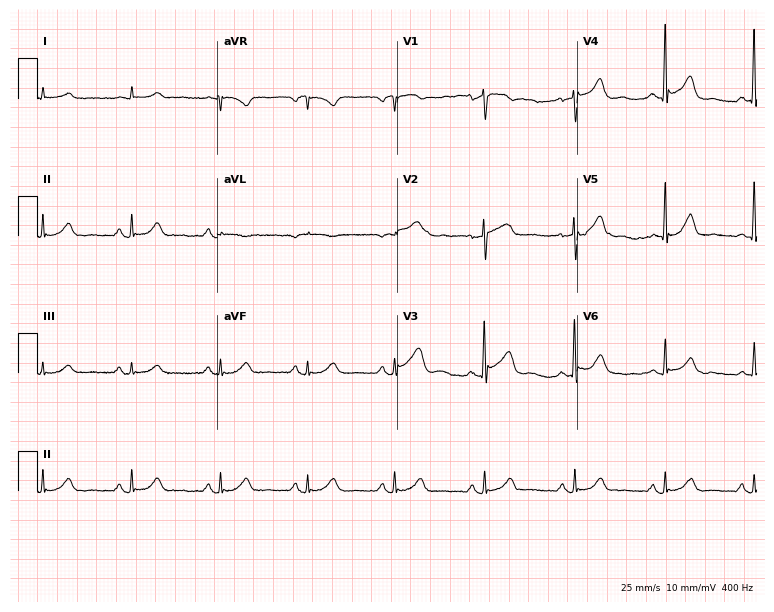
Standard 12-lead ECG recorded from a man, 76 years old (7.3-second recording at 400 Hz). Read as a normal ECG.